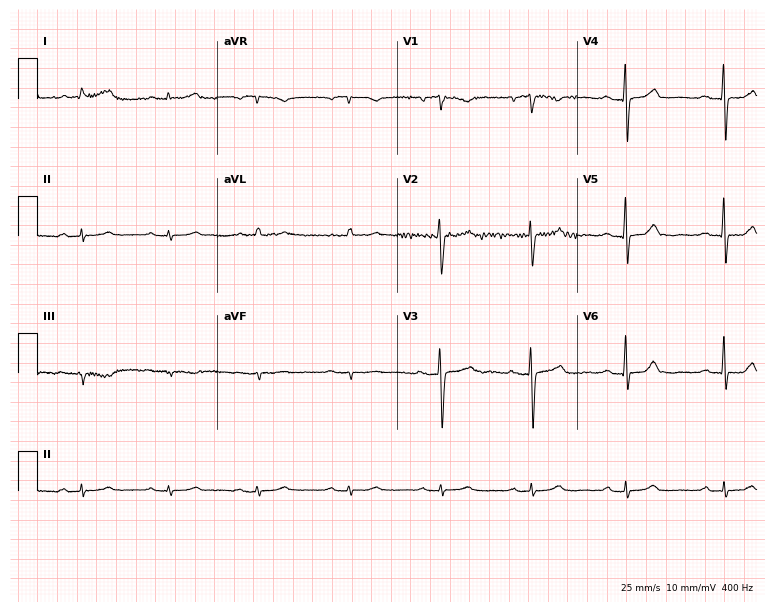
Standard 12-lead ECG recorded from an 82-year-old woman (7.3-second recording at 400 Hz). The tracing shows first-degree AV block.